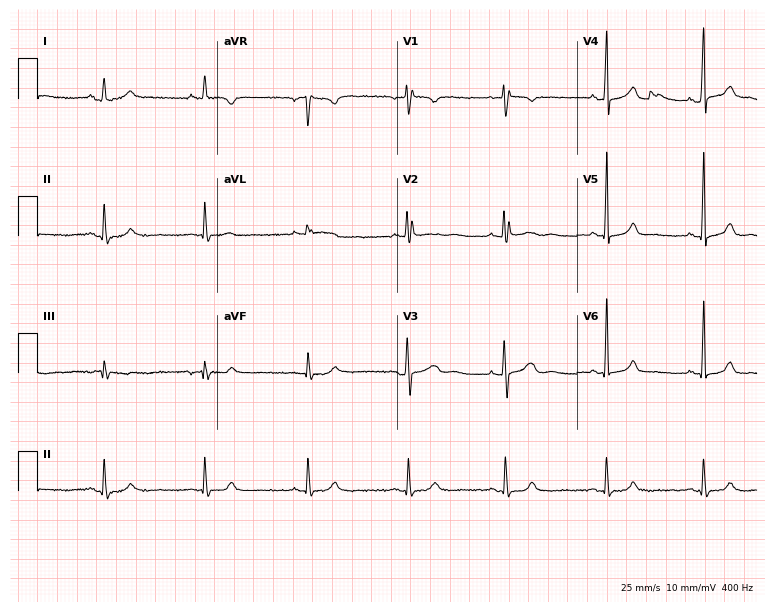
Standard 12-lead ECG recorded from a woman, 29 years old. None of these six findings is recorded: first-degree AV block, right bundle branch block (RBBB), left bundle branch block (LBBB), sinus bradycardia, atrial fibrillation (AF), sinus tachycardia.